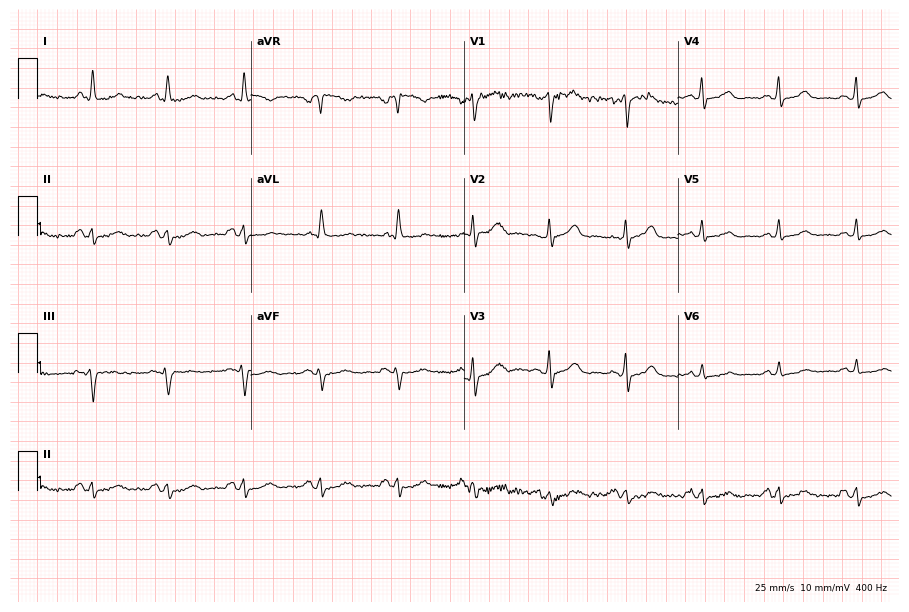
12-lead ECG from a female, 64 years old. No first-degree AV block, right bundle branch block, left bundle branch block, sinus bradycardia, atrial fibrillation or sinus tachycardia recorded for this tracing.